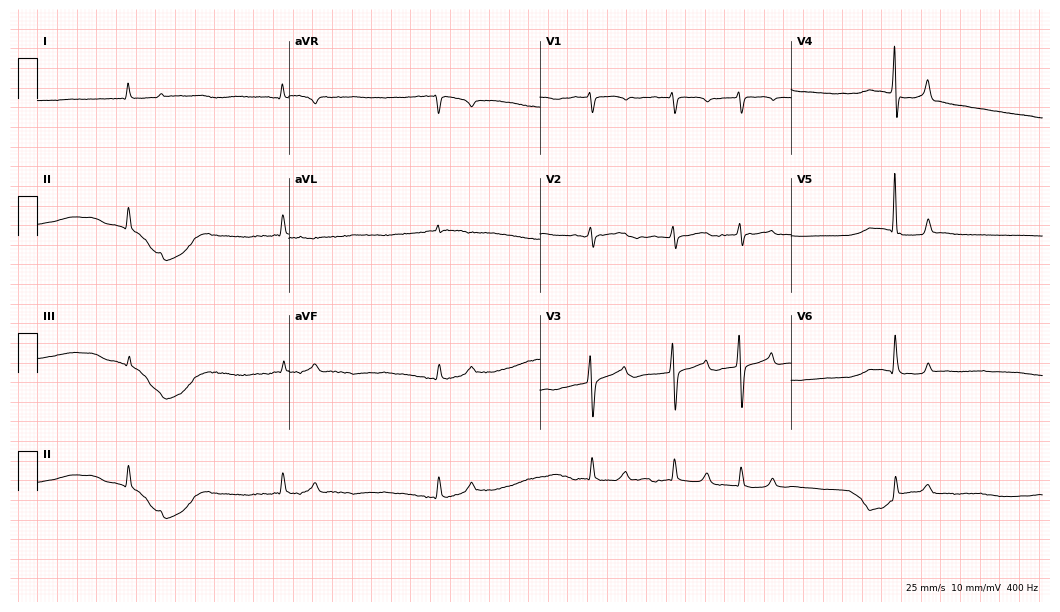
ECG — a 79-year-old female patient. Screened for six findings — first-degree AV block, right bundle branch block (RBBB), left bundle branch block (LBBB), sinus bradycardia, atrial fibrillation (AF), sinus tachycardia — none is recorded. Other findings, if any, are not listed.